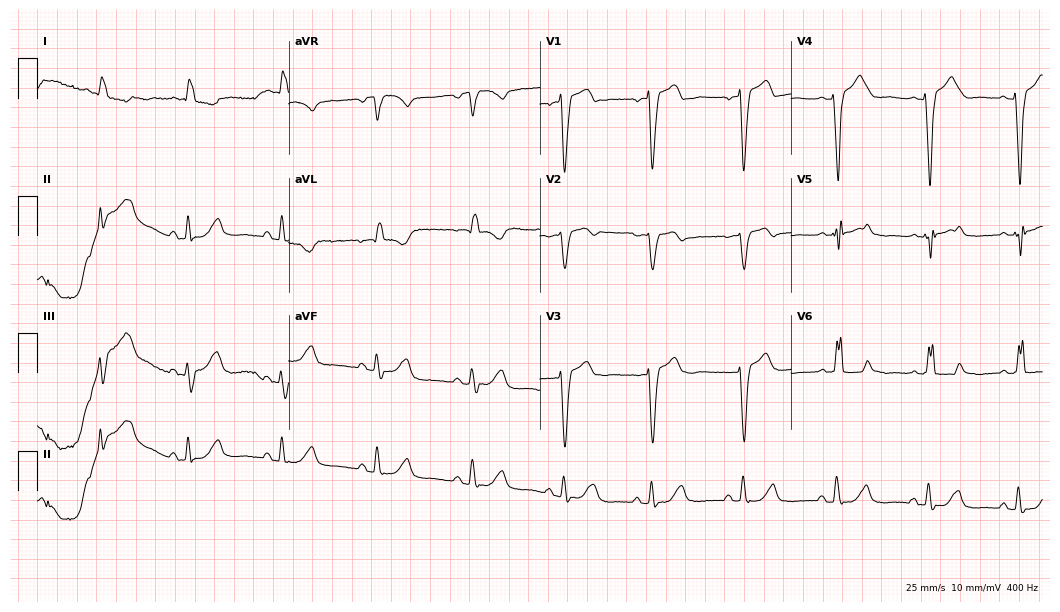
Resting 12-lead electrocardiogram (10.2-second recording at 400 Hz). Patient: a woman, 80 years old. The tracing shows left bundle branch block.